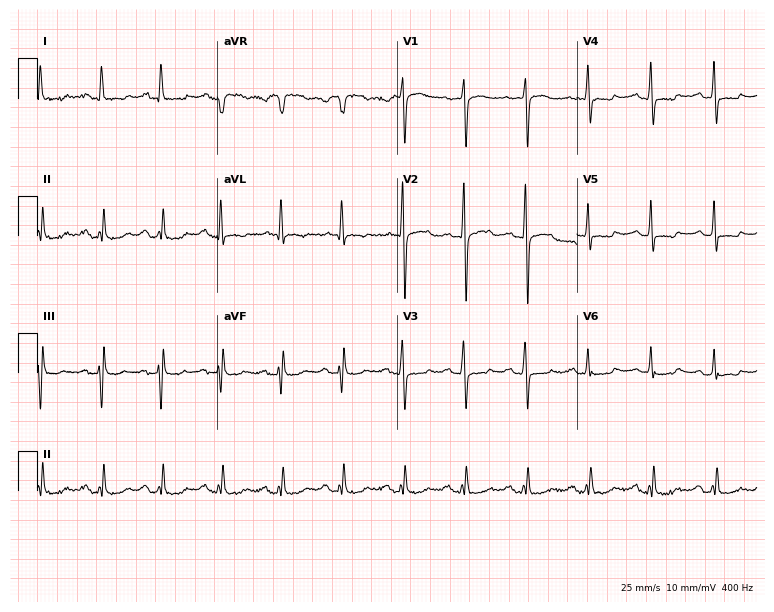
12-lead ECG from a woman, 68 years old. No first-degree AV block, right bundle branch block, left bundle branch block, sinus bradycardia, atrial fibrillation or sinus tachycardia recorded for this tracing.